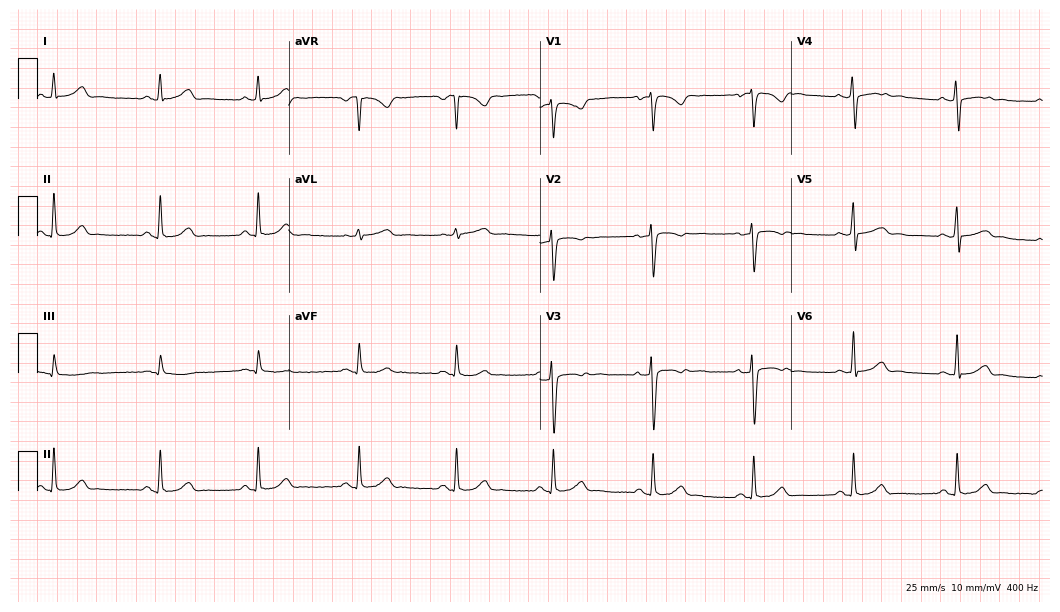
Resting 12-lead electrocardiogram (10.2-second recording at 400 Hz). Patient: a female, 42 years old. Read as a normal ECG.